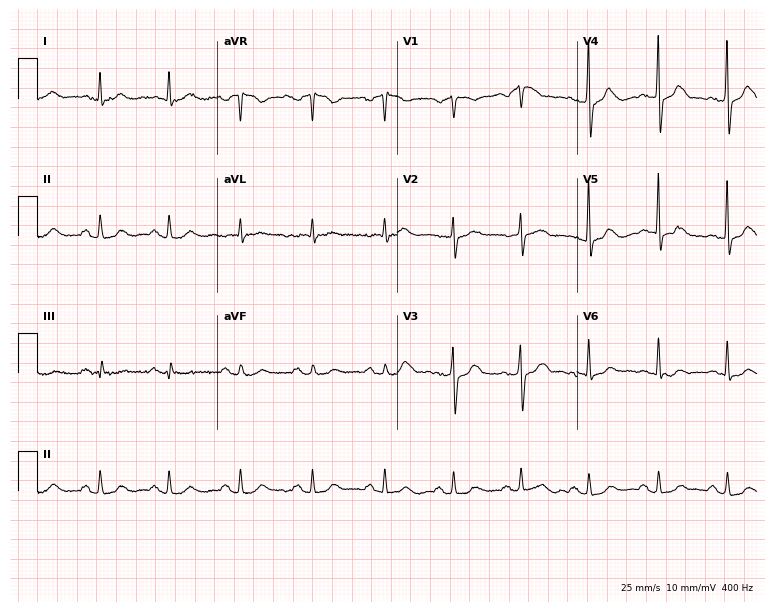
ECG — a male, 64 years old. Labelled as a normal ECG.